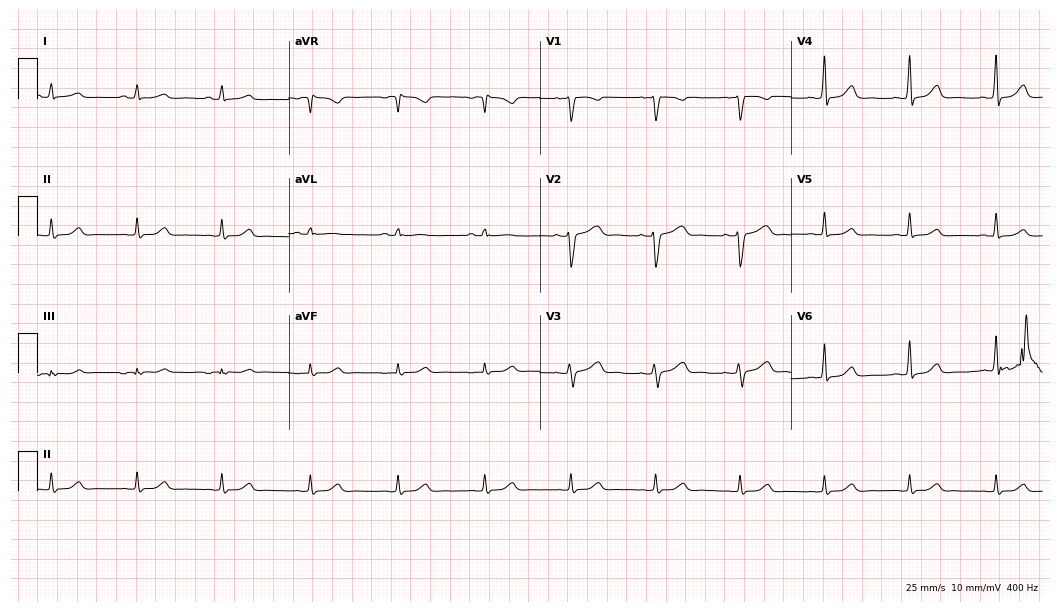
Electrocardiogram, a 42-year-old woman. Overall reading on record: normal ECG.